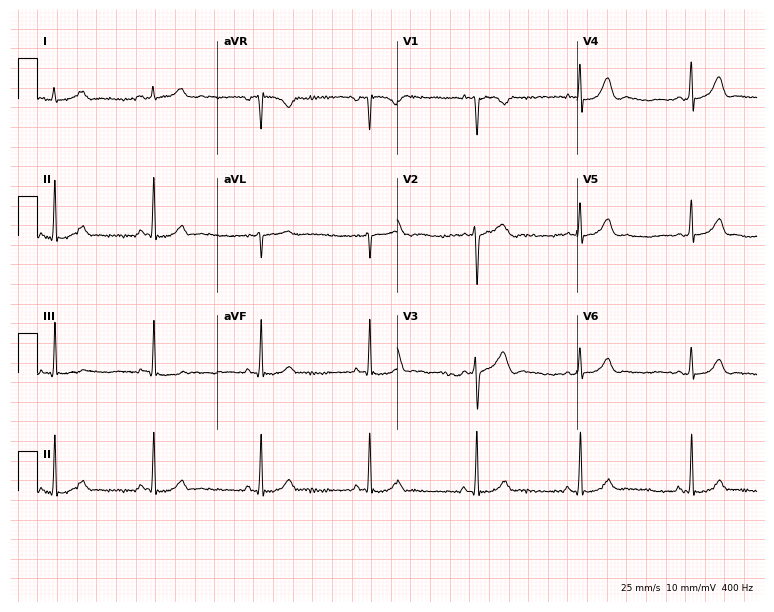
12-lead ECG from a 17-year-old female patient. Labelled as a normal ECG.